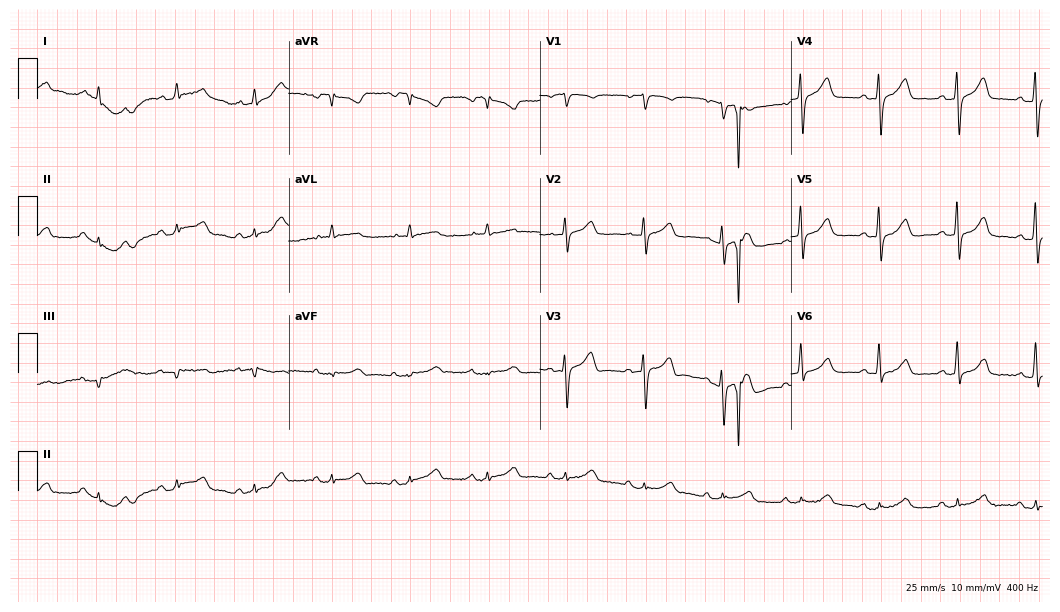
Electrocardiogram, an 81-year-old male patient. Of the six screened findings (first-degree AV block, right bundle branch block, left bundle branch block, sinus bradycardia, atrial fibrillation, sinus tachycardia), none is recorded.